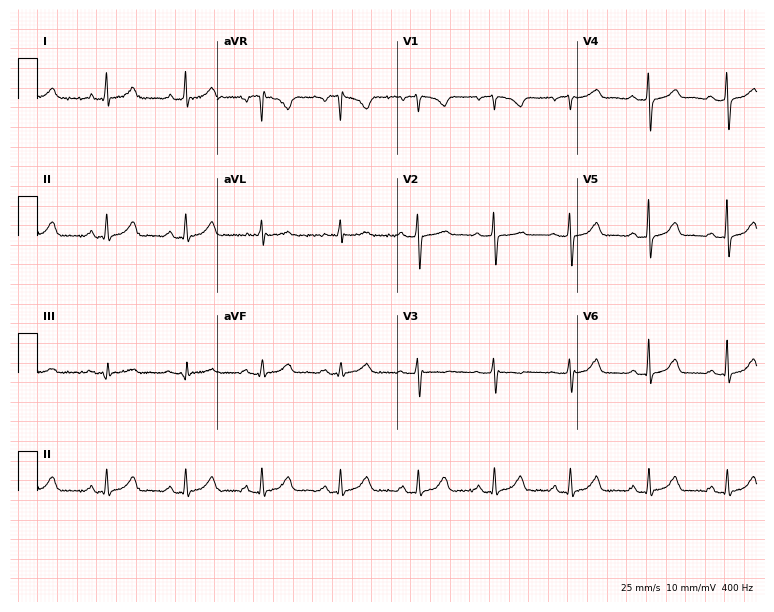
12-lead ECG from a 51-year-old female. No first-degree AV block, right bundle branch block (RBBB), left bundle branch block (LBBB), sinus bradycardia, atrial fibrillation (AF) or sinus tachycardia recorded for this tracing. Other findings, if any, are not listed.